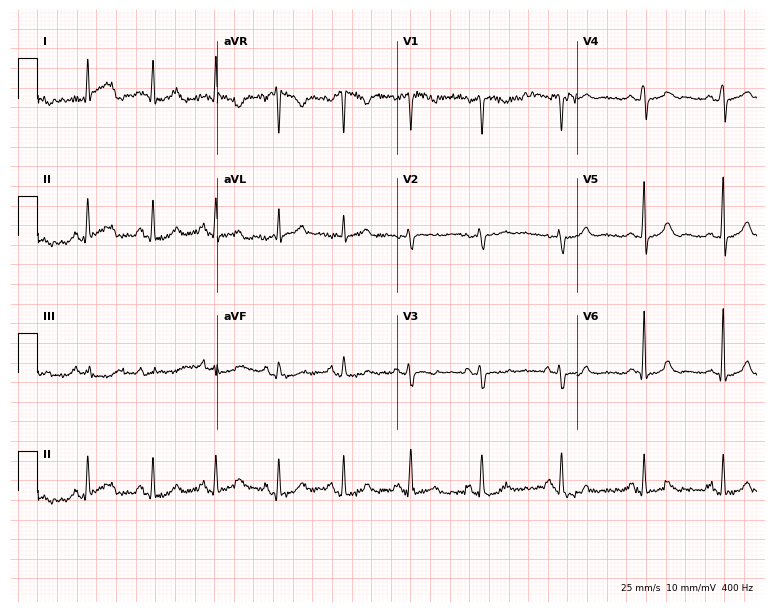
Resting 12-lead electrocardiogram (7.3-second recording at 400 Hz). Patient: a 50-year-old woman. Read as a normal ECG.